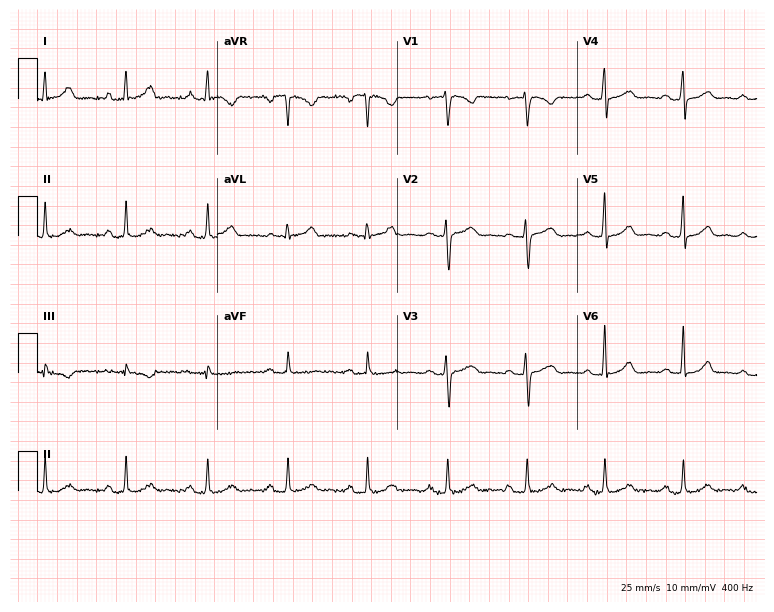
12-lead ECG (7.3-second recording at 400 Hz) from a 43-year-old female. Screened for six findings — first-degree AV block, right bundle branch block, left bundle branch block, sinus bradycardia, atrial fibrillation, sinus tachycardia — none is recorded.